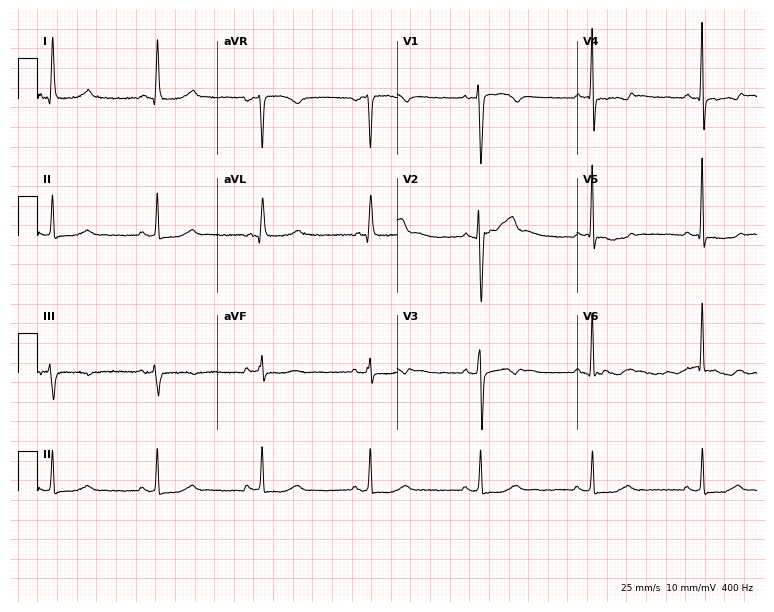
12-lead ECG from a 50-year-old female (7.3-second recording at 400 Hz). No first-degree AV block, right bundle branch block (RBBB), left bundle branch block (LBBB), sinus bradycardia, atrial fibrillation (AF) or sinus tachycardia recorded for this tracing.